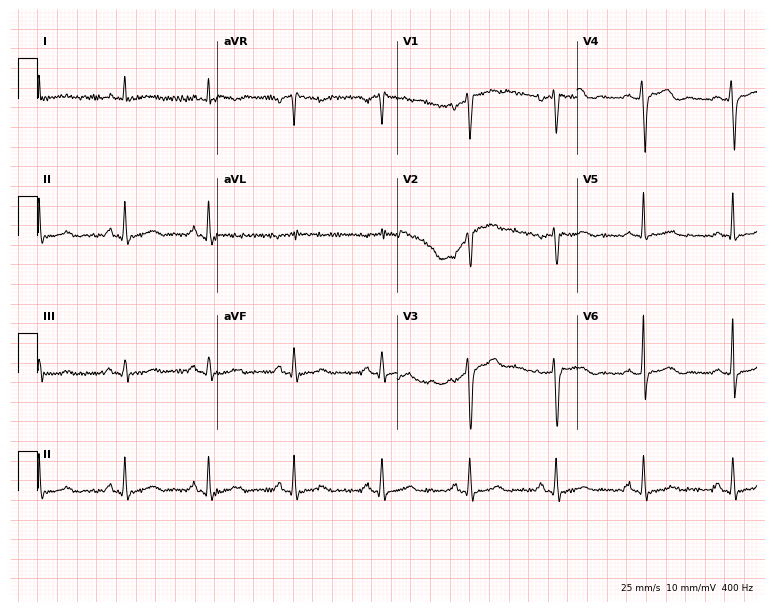
ECG — a female patient, 50 years old. Screened for six findings — first-degree AV block, right bundle branch block, left bundle branch block, sinus bradycardia, atrial fibrillation, sinus tachycardia — none is recorded.